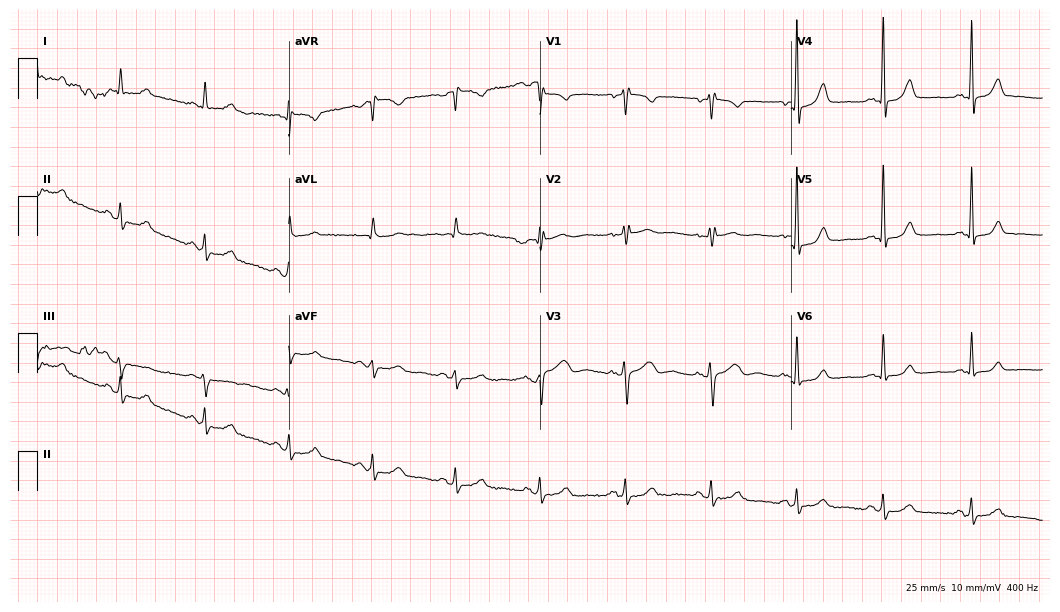
Electrocardiogram (10.2-second recording at 400 Hz), a female patient, 56 years old. Of the six screened findings (first-degree AV block, right bundle branch block, left bundle branch block, sinus bradycardia, atrial fibrillation, sinus tachycardia), none is recorded. Only these six findings were labelled.